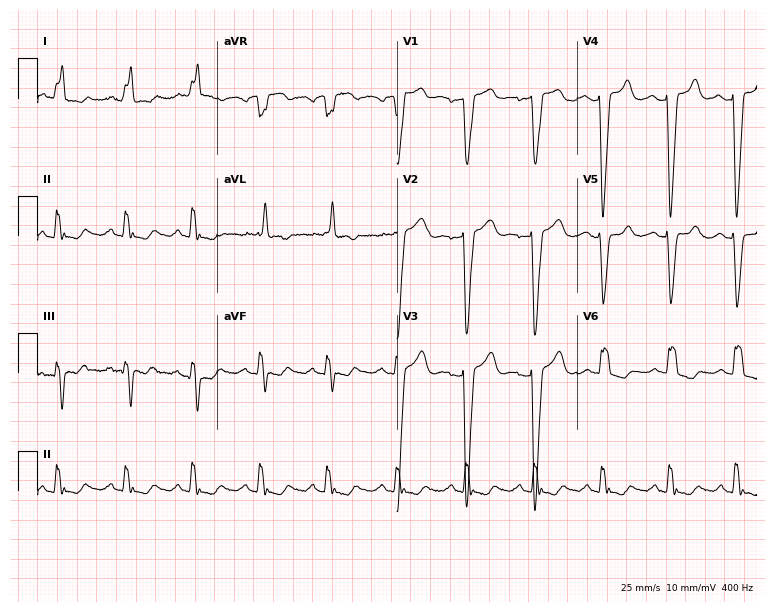
12-lead ECG from a 66-year-old female. Findings include left bundle branch block (LBBB).